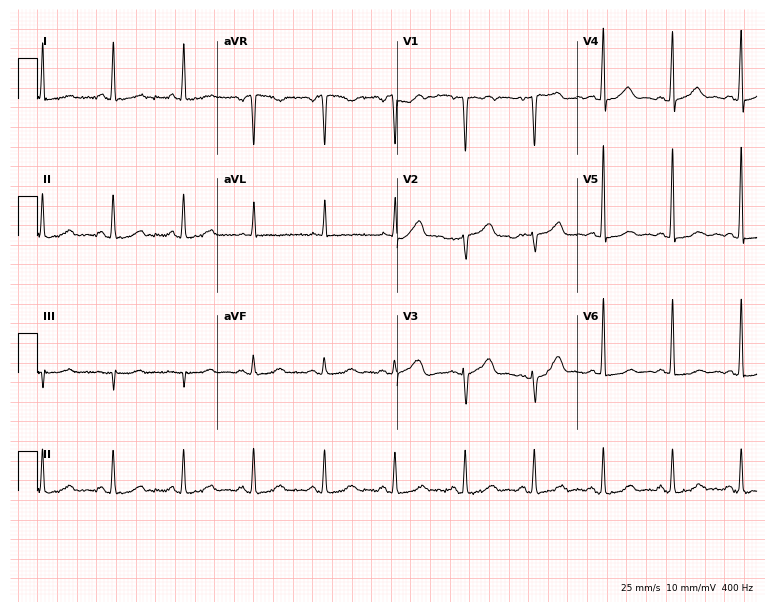
Electrocardiogram (7.3-second recording at 400 Hz), a woman, 52 years old. Of the six screened findings (first-degree AV block, right bundle branch block, left bundle branch block, sinus bradycardia, atrial fibrillation, sinus tachycardia), none is recorded. Findings outside these six are not listed.